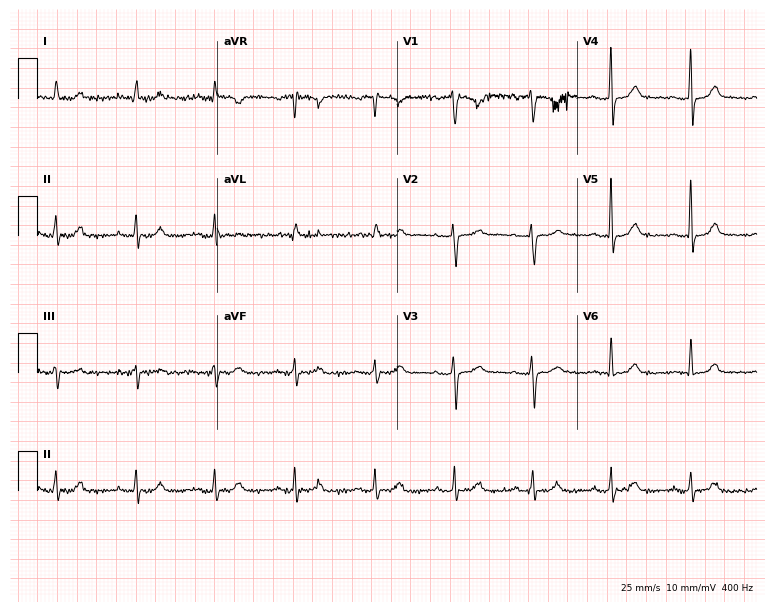
Electrocardiogram, a woman, 53 years old. Overall reading on record: normal ECG.